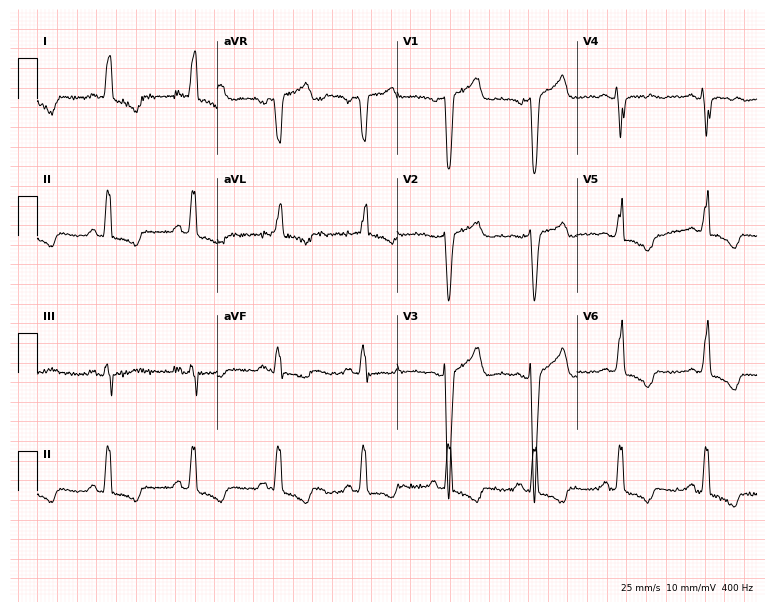
Electrocardiogram (7.3-second recording at 400 Hz), a 66-year-old female. Interpretation includes left bundle branch block.